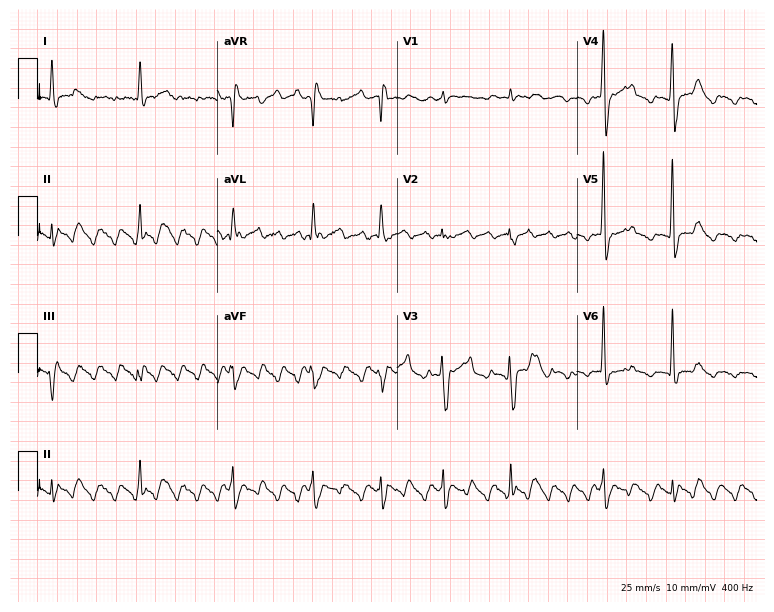
ECG (7.3-second recording at 400 Hz) — a 55-year-old man. Screened for six findings — first-degree AV block, right bundle branch block (RBBB), left bundle branch block (LBBB), sinus bradycardia, atrial fibrillation (AF), sinus tachycardia — none is recorded. Only these six findings were labelled.